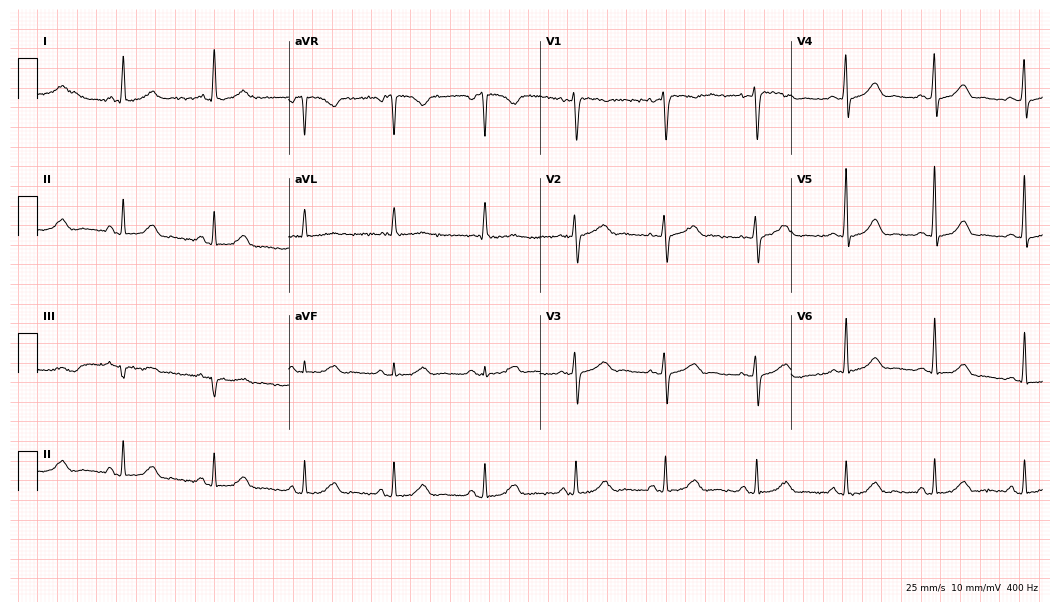
Standard 12-lead ECG recorded from a 40-year-old woman. Read as a normal ECG.